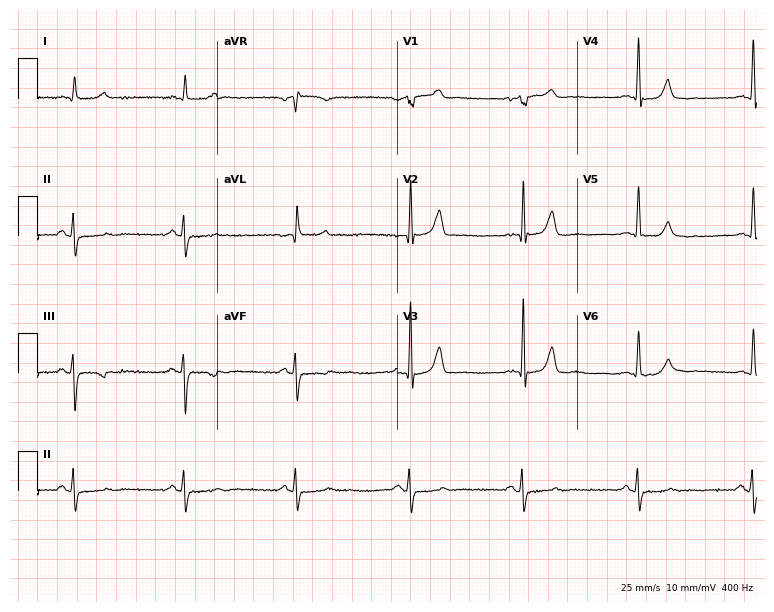
ECG (7.3-second recording at 400 Hz) — a man, 81 years old. Screened for six findings — first-degree AV block, right bundle branch block (RBBB), left bundle branch block (LBBB), sinus bradycardia, atrial fibrillation (AF), sinus tachycardia — none is recorded. Findings outside these six are not listed.